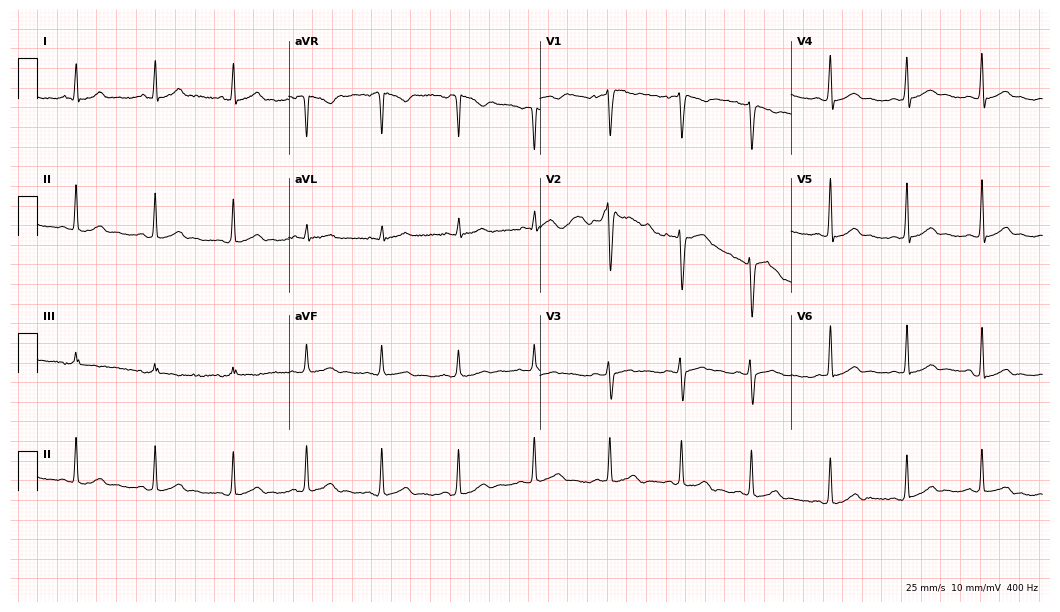
ECG — a 27-year-old woman. Screened for six findings — first-degree AV block, right bundle branch block (RBBB), left bundle branch block (LBBB), sinus bradycardia, atrial fibrillation (AF), sinus tachycardia — none is recorded. Findings outside these six are not listed.